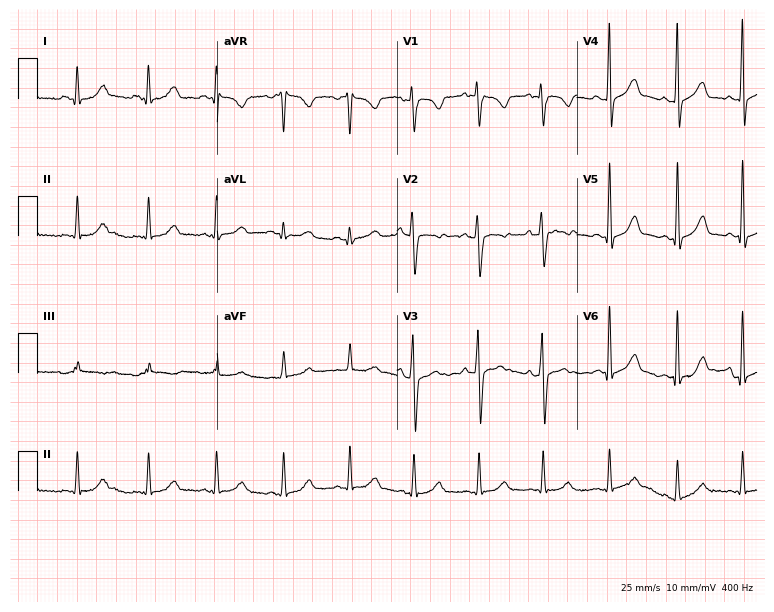
Standard 12-lead ECG recorded from a 41-year-old female. Read as a normal ECG.